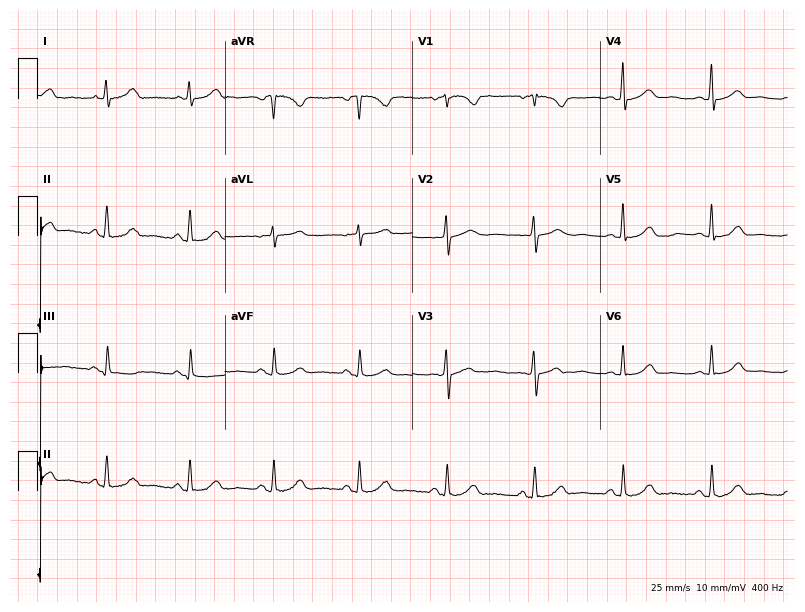
12-lead ECG from a 55-year-old female patient (7.6-second recording at 400 Hz). Recorded interpretation: within normal limits.